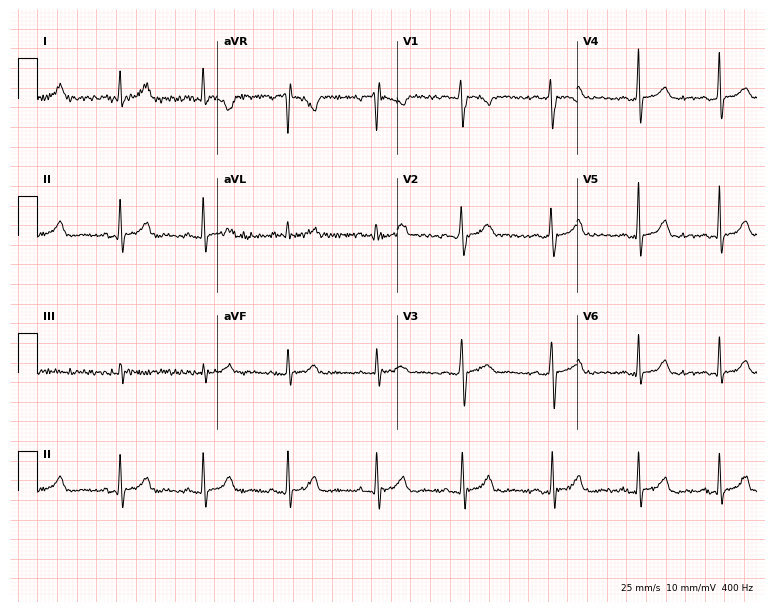
12-lead ECG from a female, 20 years old. Recorded interpretation: within normal limits.